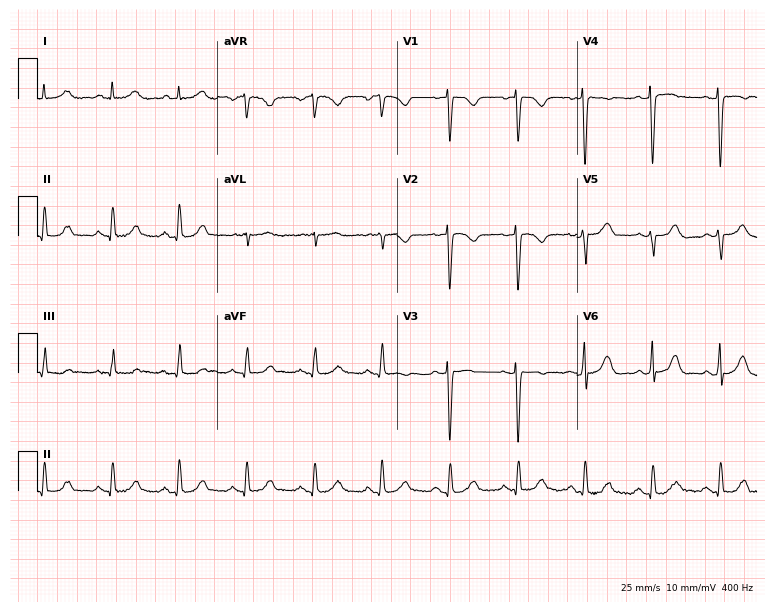
Electrocardiogram (7.3-second recording at 400 Hz), a female, 86 years old. Of the six screened findings (first-degree AV block, right bundle branch block, left bundle branch block, sinus bradycardia, atrial fibrillation, sinus tachycardia), none is recorded. Other findings, if any, are not listed.